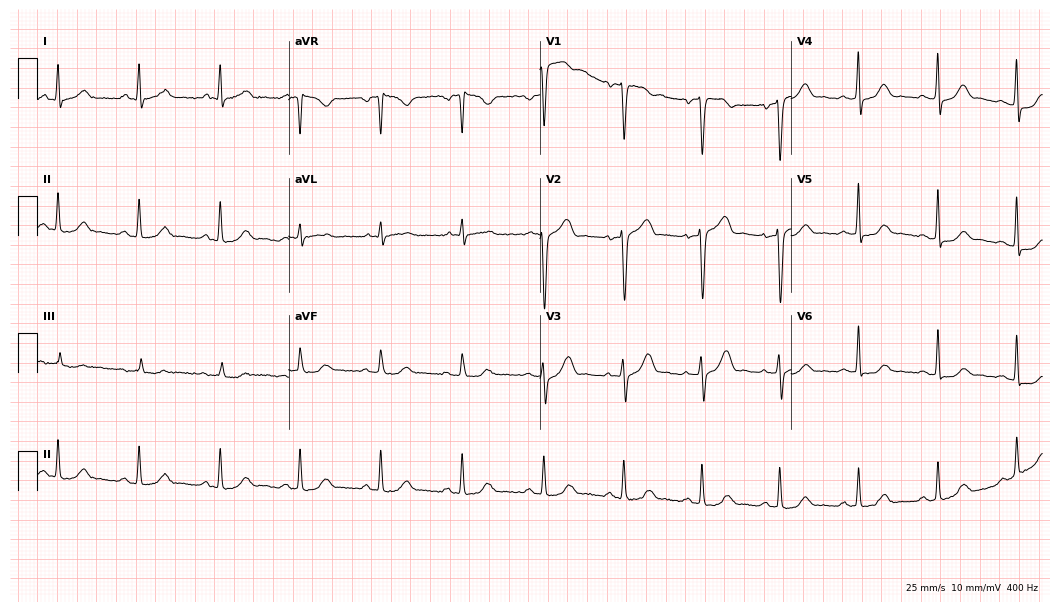
Resting 12-lead electrocardiogram. Patient: a 49-year-old woman. None of these six findings is recorded: first-degree AV block, right bundle branch block (RBBB), left bundle branch block (LBBB), sinus bradycardia, atrial fibrillation (AF), sinus tachycardia. Other findings, if any, are not listed.